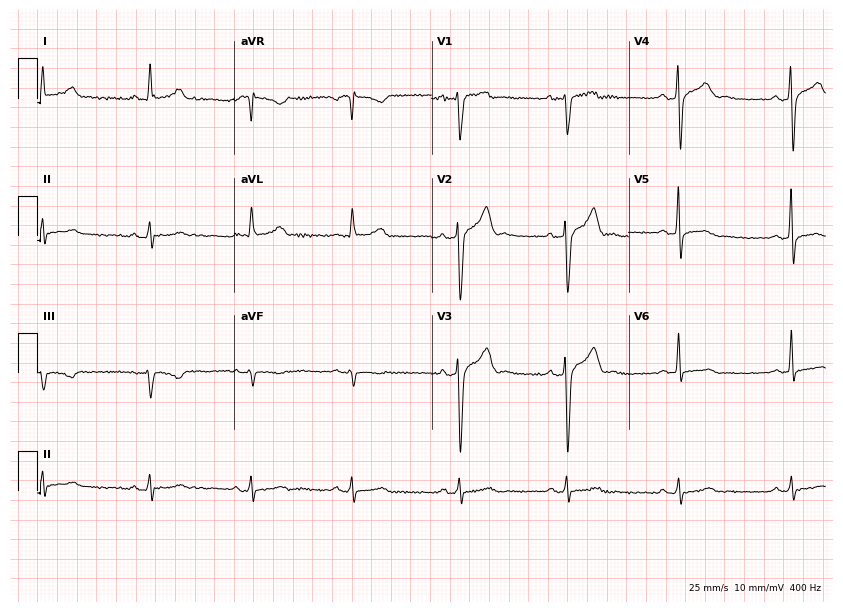
Electrocardiogram, a male patient, 85 years old. Of the six screened findings (first-degree AV block, right bundle branch block, left bundle branch block, sinus bradycardia, atrial fibrillation, sinus tachycardia), none is recorded. Other findings, if any, are not listed.